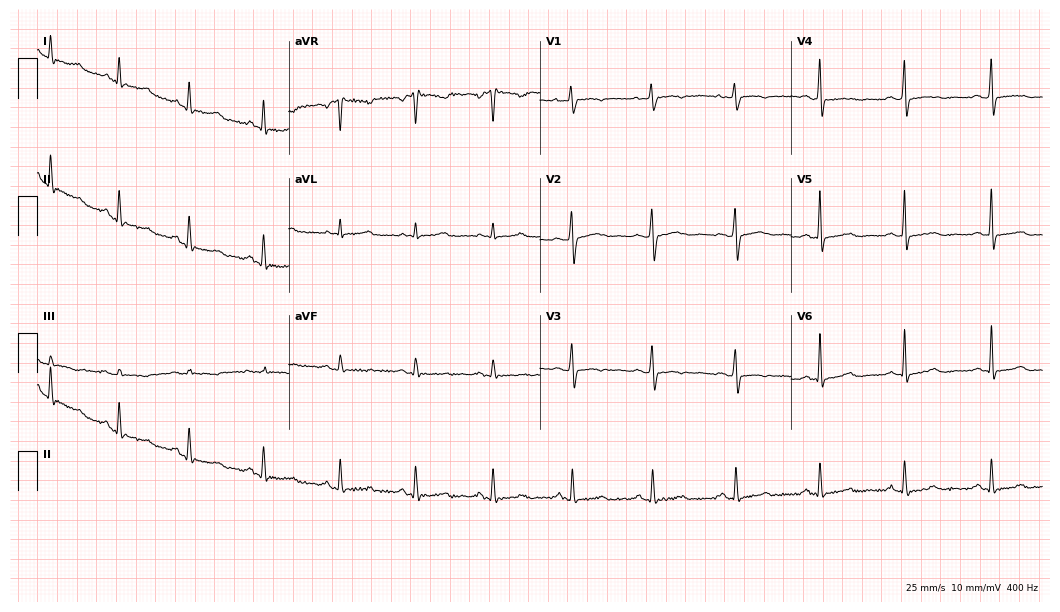
Standard 12-lead ECG recorded from a 39-year-old female patient. None of these six findings is recorded: first-degree AV block, right bundle branch block (RBBB), left bundle branch block (LBBB), sinus bradycardia, atrial fibrillation (AF), sinus tachycardia.